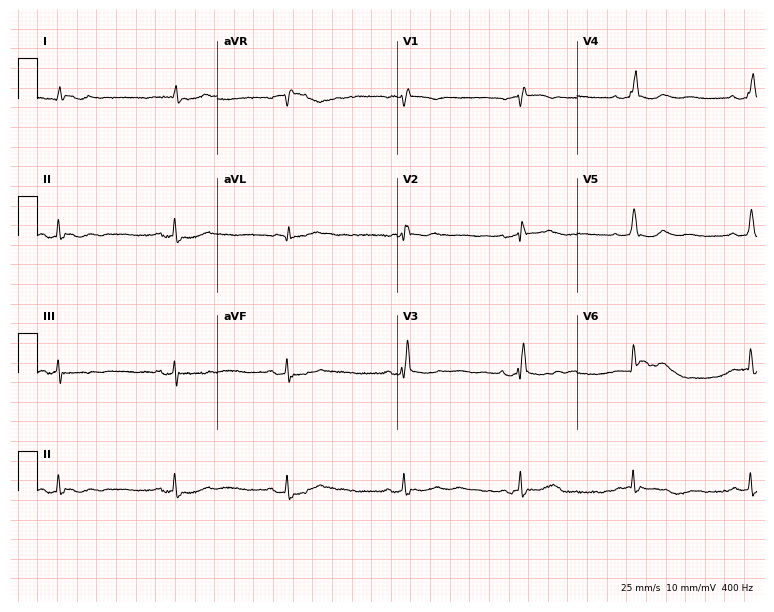
Resting 12-lead electrocardiogram. Patient: an 82-year-old female. None of these six findings is recorded: first-degree AV block, right bundle branch block, left bundle branch block, sinus bradycardia, atrial fibrillation, sinus tachycardia. Findings outside these six are not listed.